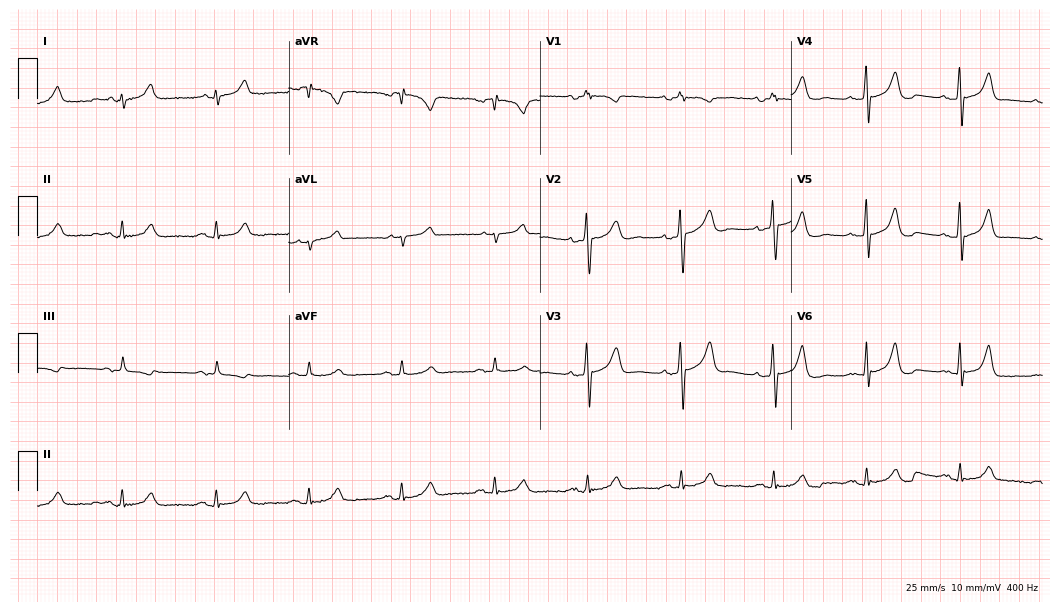
ECG (10.2-second recording at 400 Hz) — a man, 77 years old. Labelled as a normal ECG.